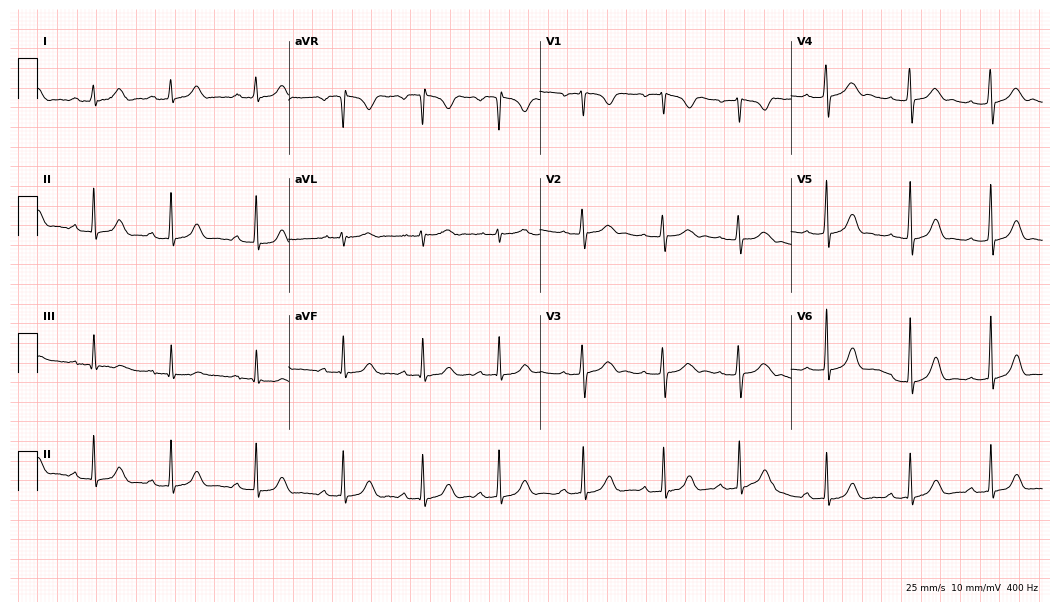
ECG — an 18-year-old female. Findings include first-degree AV block.